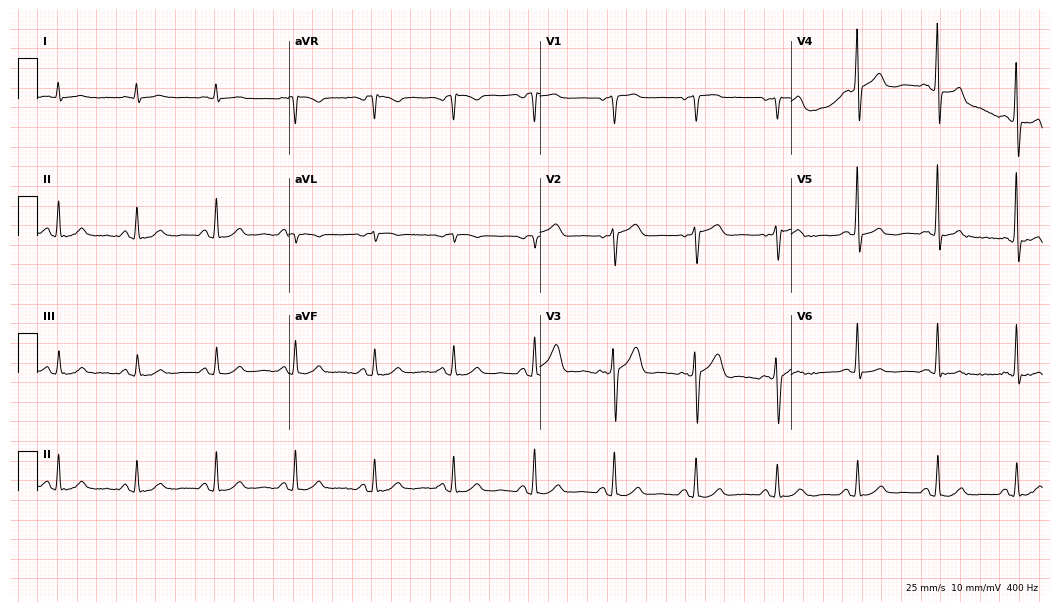
12-lead ECG from an 81-year-old male patient. Recorded interpretation: within normal limits.